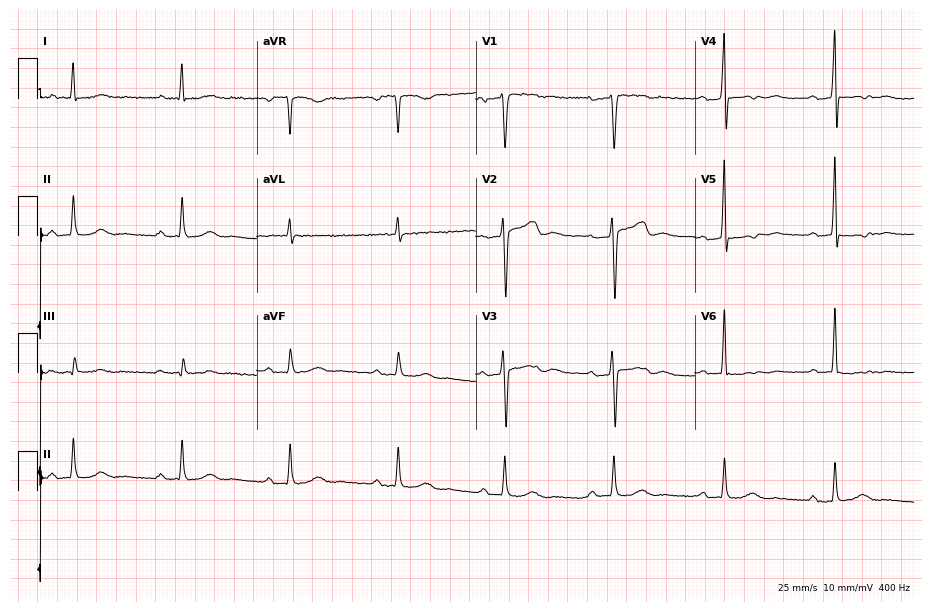
12-lead ECG (8.9-second recording at 400 Hz) from a male patient, 57 years old. Screened for six findings — first-degree AV block, right bundle branch block, left bundle branch block, sinus bradycardia, atrial fibrillation, sinus tachycardia — none is recorded. Other findings, if any, are not listed.